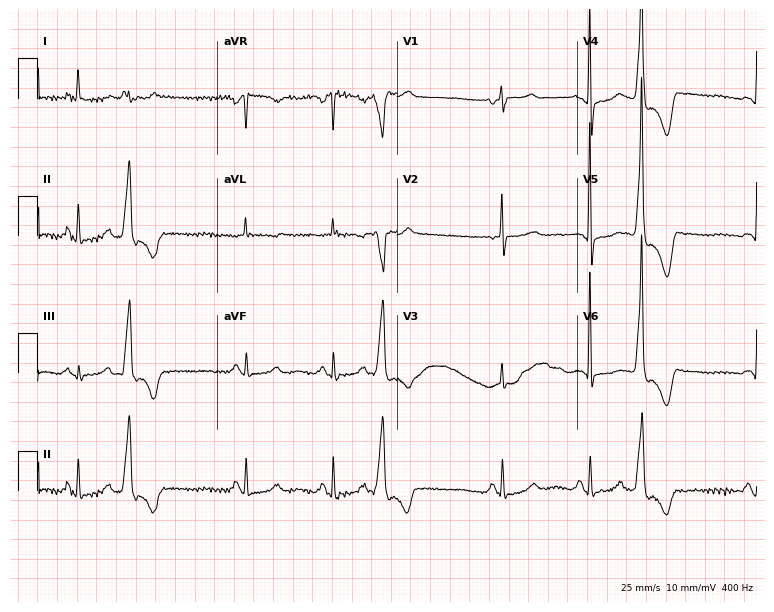
ECG (7.3-second recording at 400 Hz) — a 78-year-old woman. Screened for six findings — first-degree AV block, right bundle branch block, left bundle branch block, sinus bradycardia, atrial fibrillation, sinus tachycardia — none is recorded.